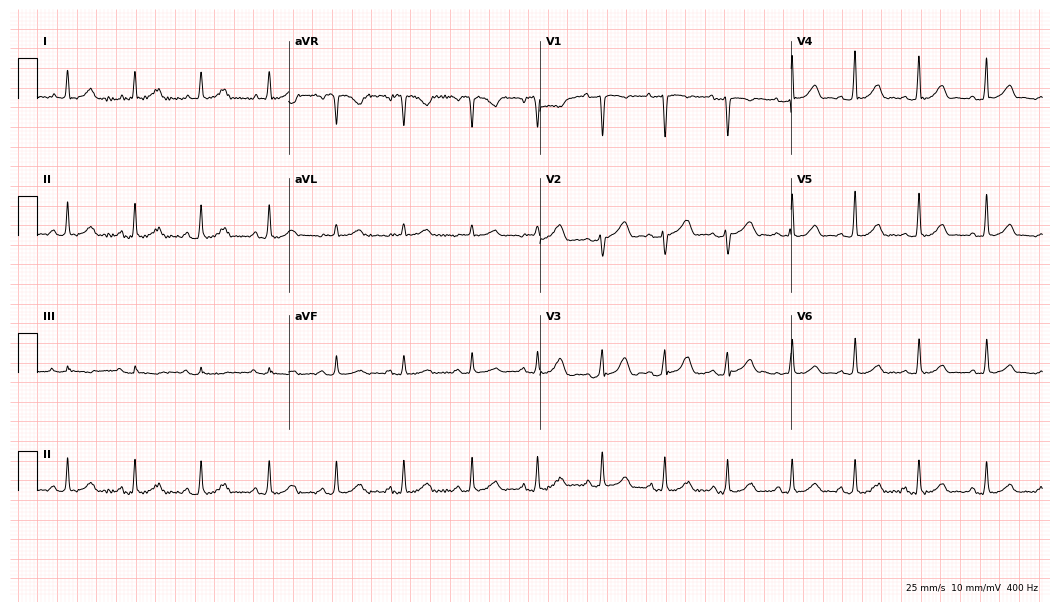
Standard 12-lead ECG recorded from a 37-year-old woman. Read as a normal ECG.